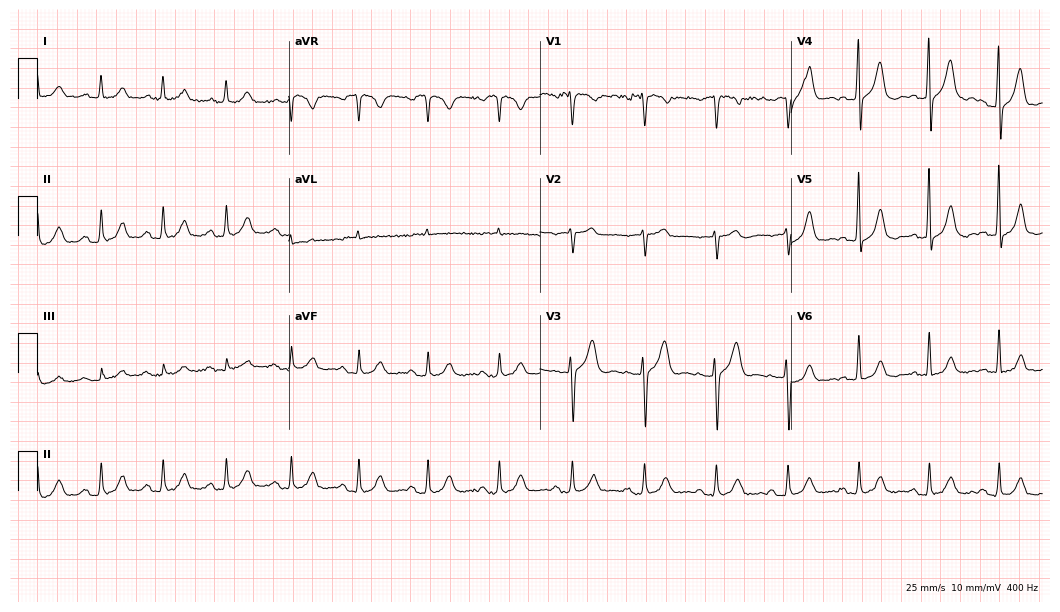
Electrocardiogram, a male patient, 64 years old. Overall reading on record: normal ECG.